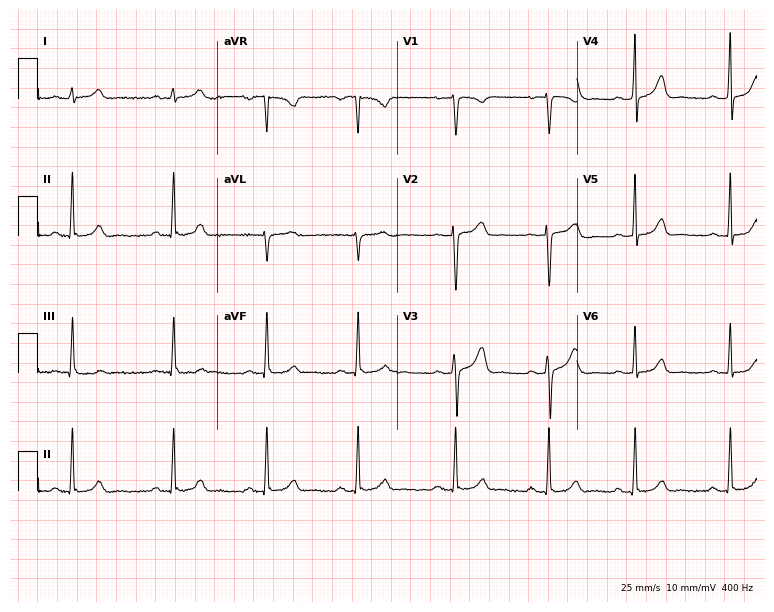
ECG — a woman, 23 years old. Labelled as a normal ECG.